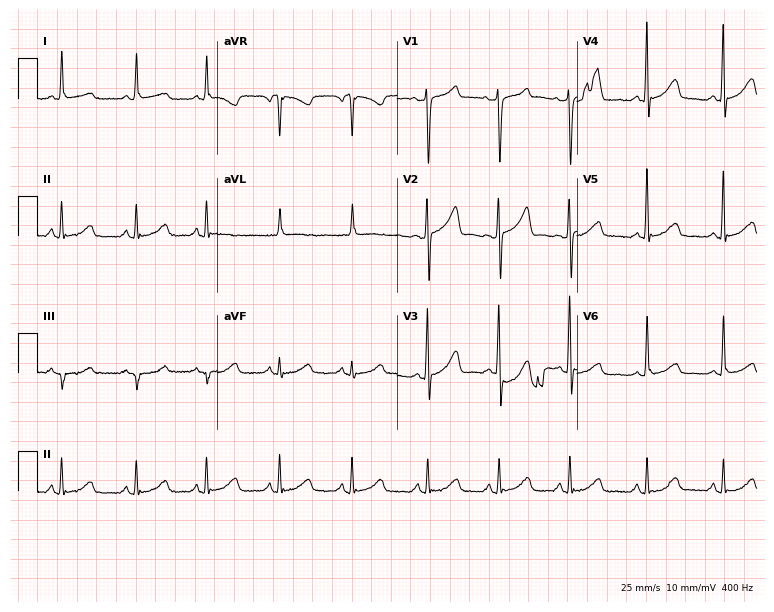
Standard 12-lead ECG recorded from a female, 65 years old (7.3-second recording at 400 Hz). Read as a normal ECG.